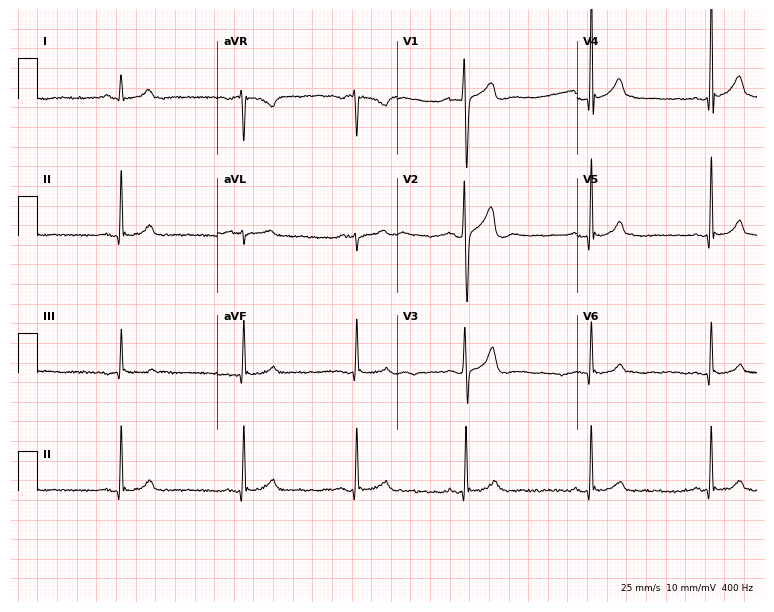
12-lead ECG from a male, 19 years old. Labelled as a normal ECG.